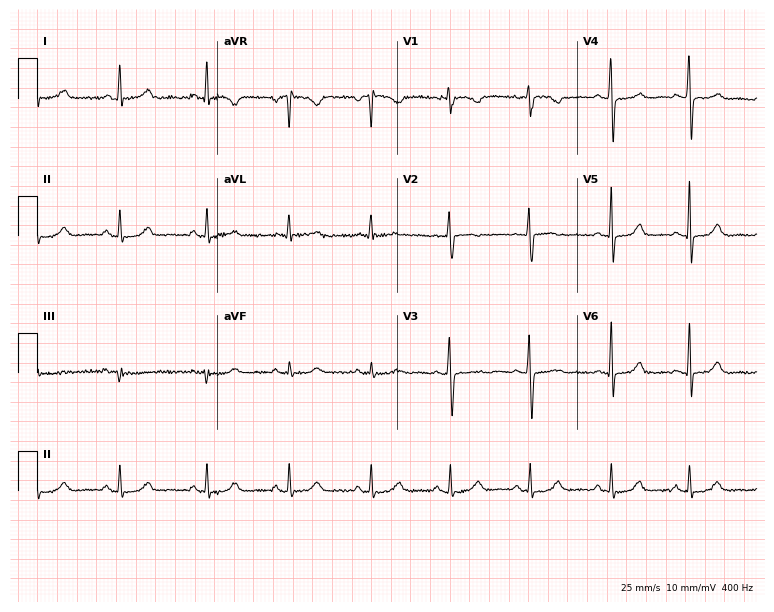
12-lead ECG from a female, 40 years old. No first-degree AV block, right bundle branch block (RBBB), left bundle branch block (LBBB), sinus bradycardia, atrial fibrillation (AF) or sinus tachycardia recorded for this tracing.